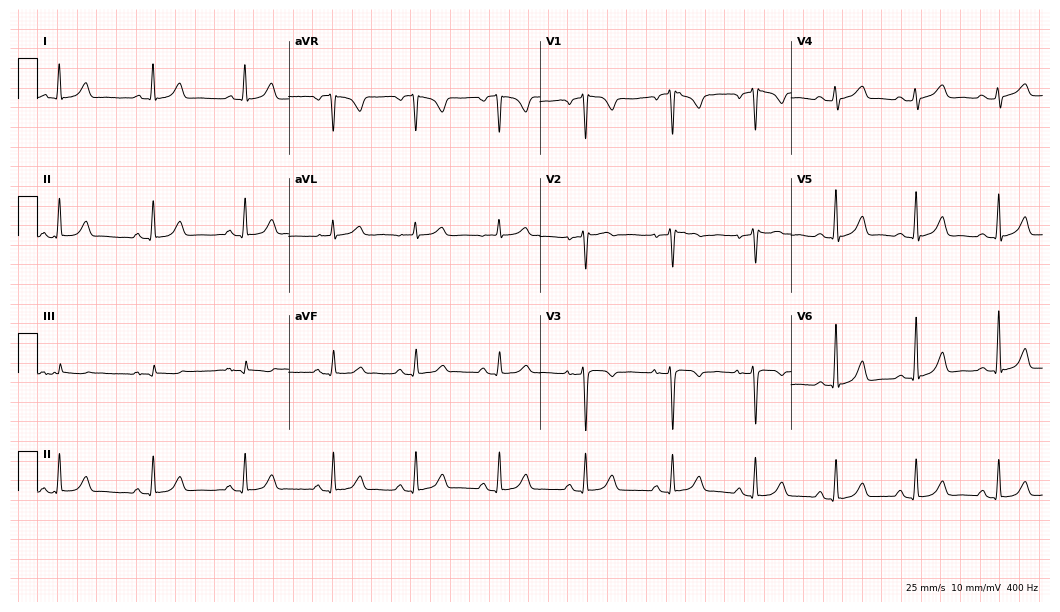
Standard 12-lead ECG recorded from a 49-year-old female patient (10.2-second recording at 400 Hz). Read as a normal ECG.